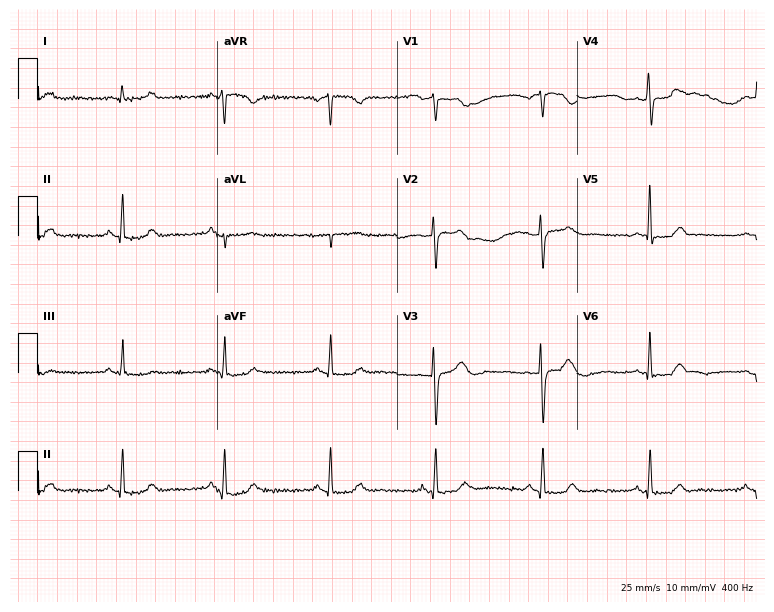
12-lead ECG from a 45-year-old female. Labelled as a normal ECG.